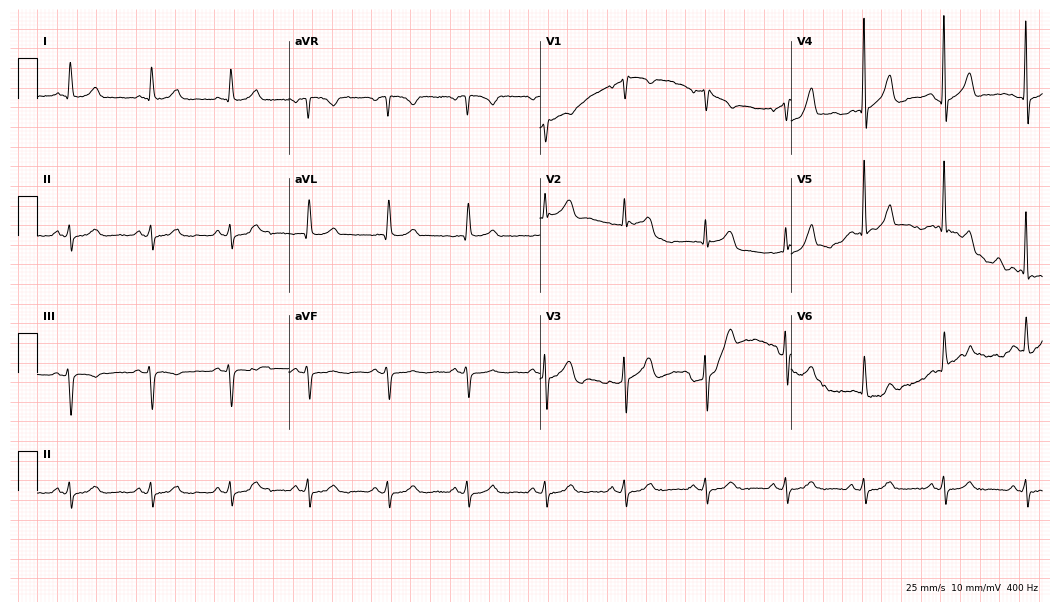
12-lead ECG from an 81-year-old man (10.2-second recording at 400 Hz). Recorded interpretation: within normal limits.